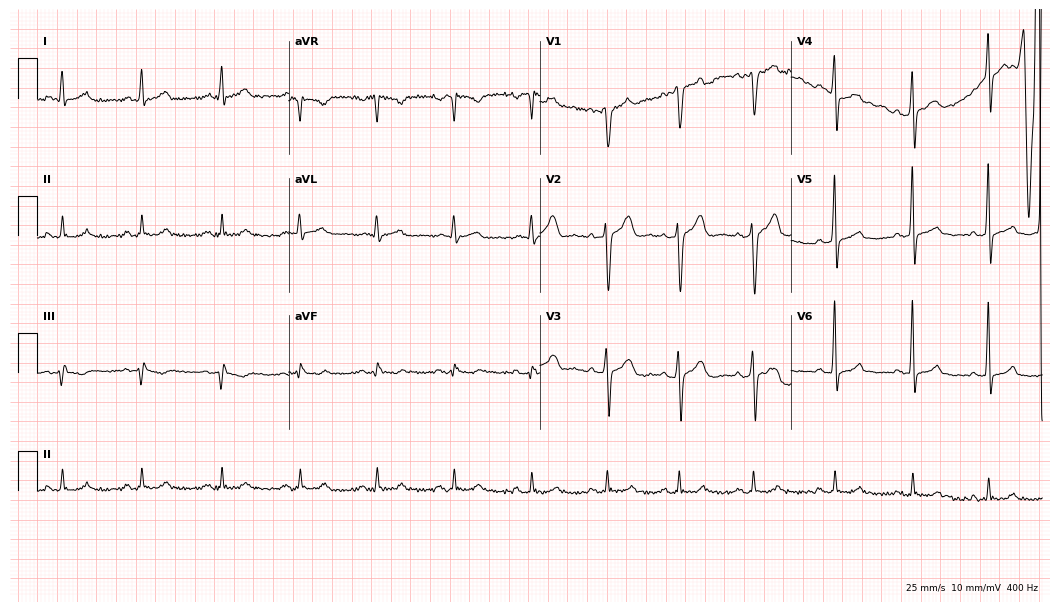
Standard 12-lead ECG recorded from a 43-year-old male. None of these six findings is recorded: first-degree AV block, right bundle branch block (RBBB), left bundle branch block (LBBB), sinus bradycardia, atrial fibrillation (AF), sinus tachycardia. Only these six findings were labelled.